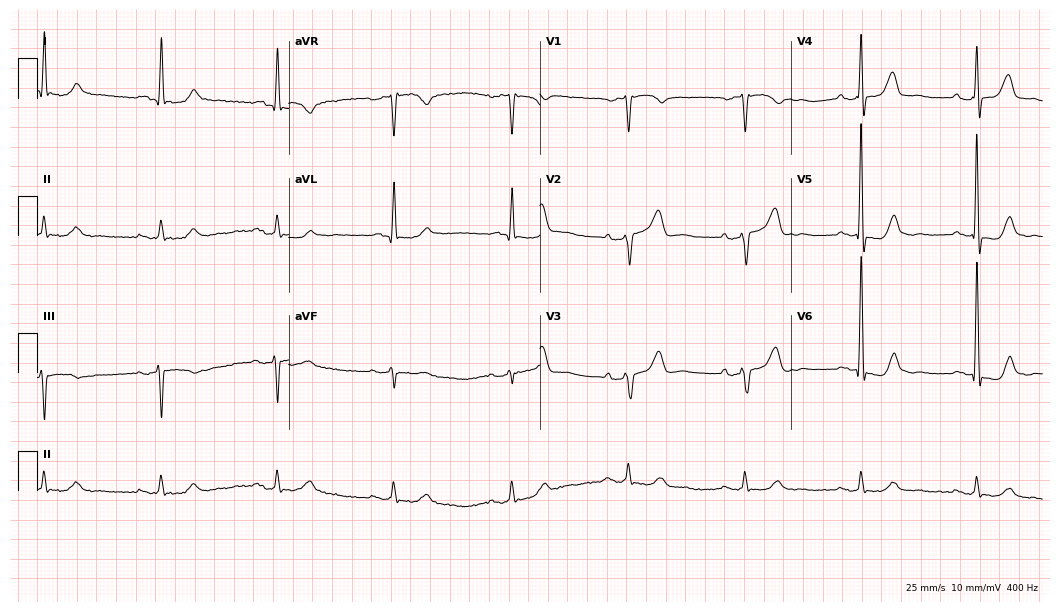
12-lead ECG from an 81-year-old man. No first-degree AV block, right bundle branch block (RBBB), left bundle branch block (LBBB), sinus bradycardia, atrial fibrillation (AF) or sinus tachycardia recorded for this tracing.